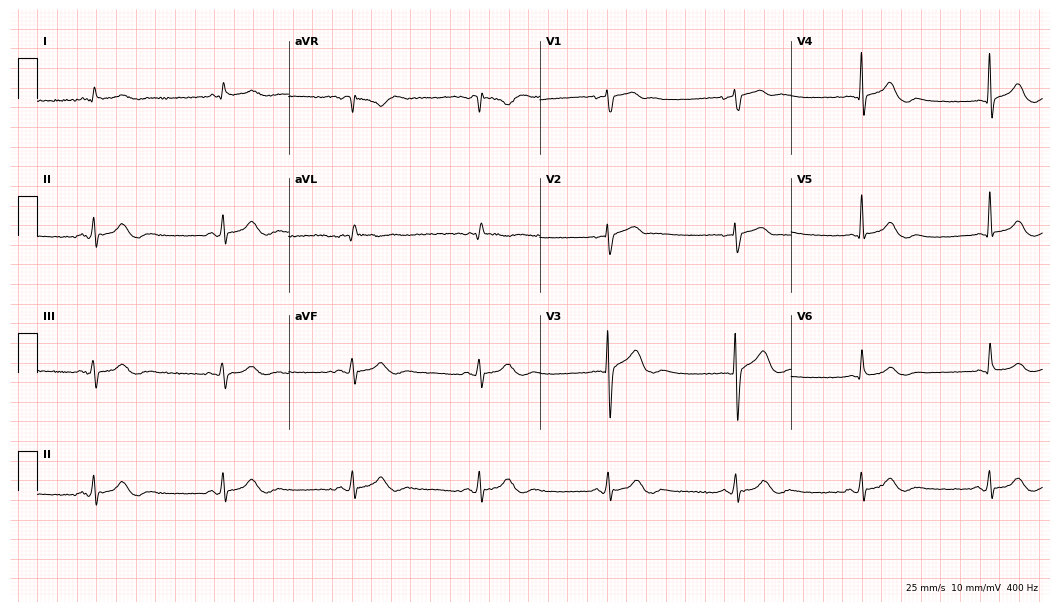
Resting 12-lead electrocardiogram. Patient: a male, 75 years old. The tracing shows sinus bradycardia (a sinus rate of 50 beats per minute or less).